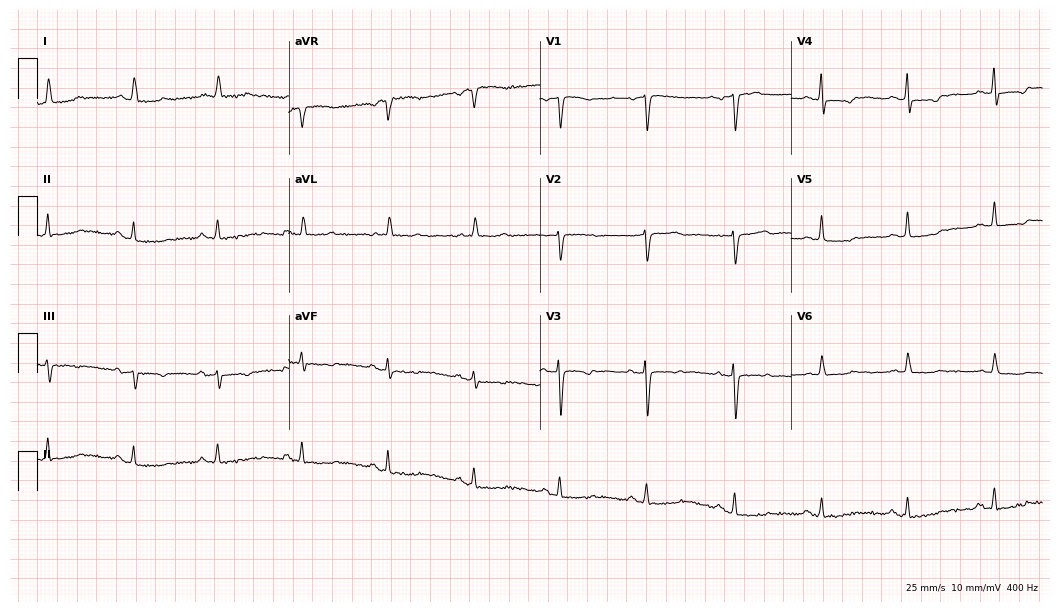
Resting 12-lead electrocardiogram. Patient: a 71-year-old female. None of these six findings is recorded: first-degree AV block, right bundle branch block, left bundle branch block, sinus bradycardia, atrial fibrillation, sinus tachycardia. Findings outside these six are not listed.